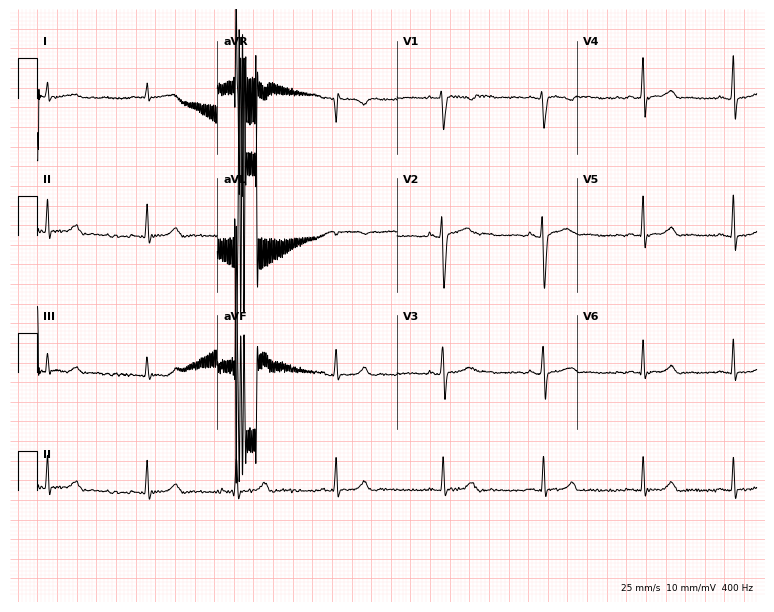
Resting 12-lead electrocardiogram (7.3-second recording at 400 Hz). Patient: a 28-year-old female. Read as a normal ECG.